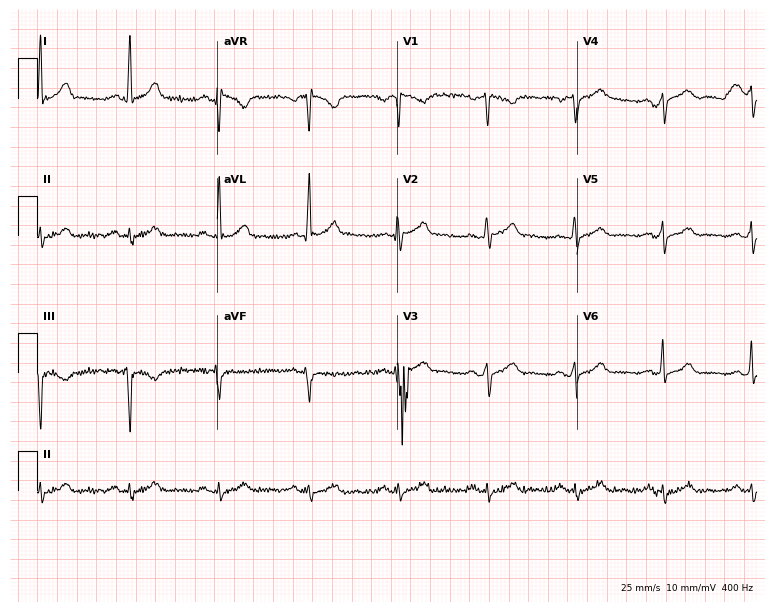
12-lead ECG (7.3-second recording at 400 Hz) from a 44-year-old male. Screened for six findings — first-degree AV block, right bundle branch block (RBBB), left bundle branch block (LBBB), sinus bradycardia, atrial fibrillation (AF), sinus tachycardia — none is recorded. Only these six findings were labelled.